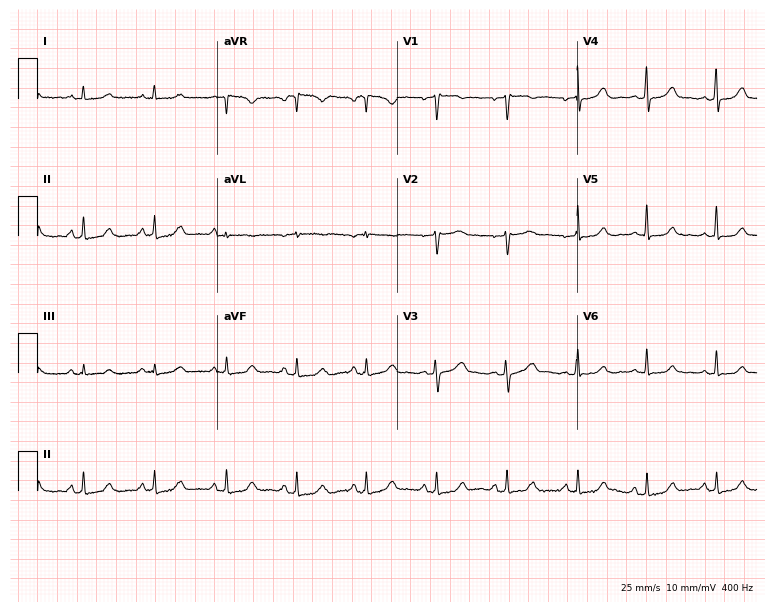
12-lead ECG from a female, 65 years old. Labelled as a normal ECG.